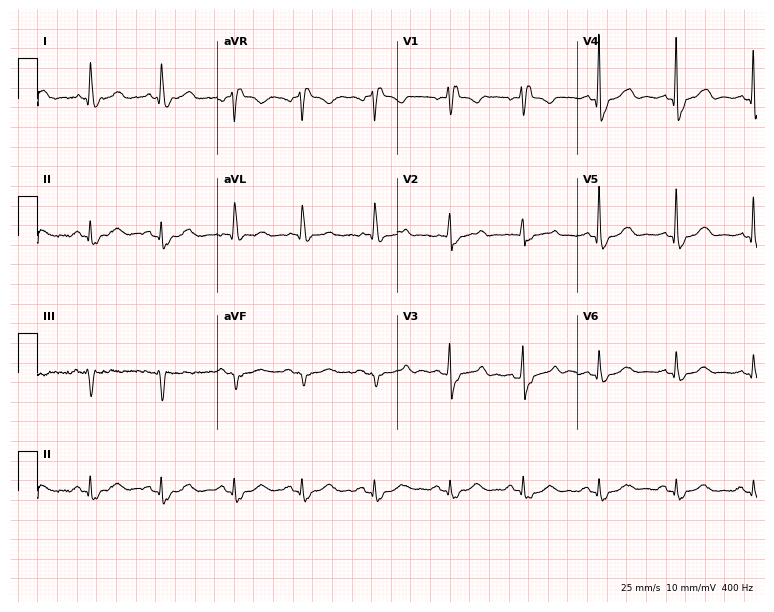
12-lead ECG (7.3-second recording at 400 Hz) from a 78-year-old female patient. Findings include right bundle branch block (RBBB).